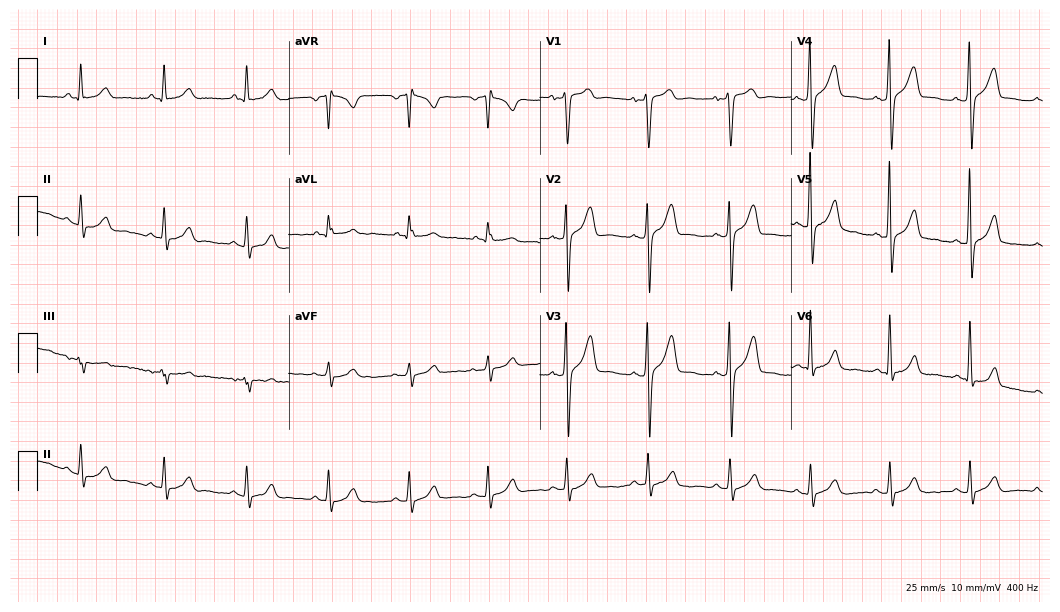
Electrocardiogram (10.2-second recording at 400 Hz), a male, 27 years old. Overall reading on record: normal ECG.